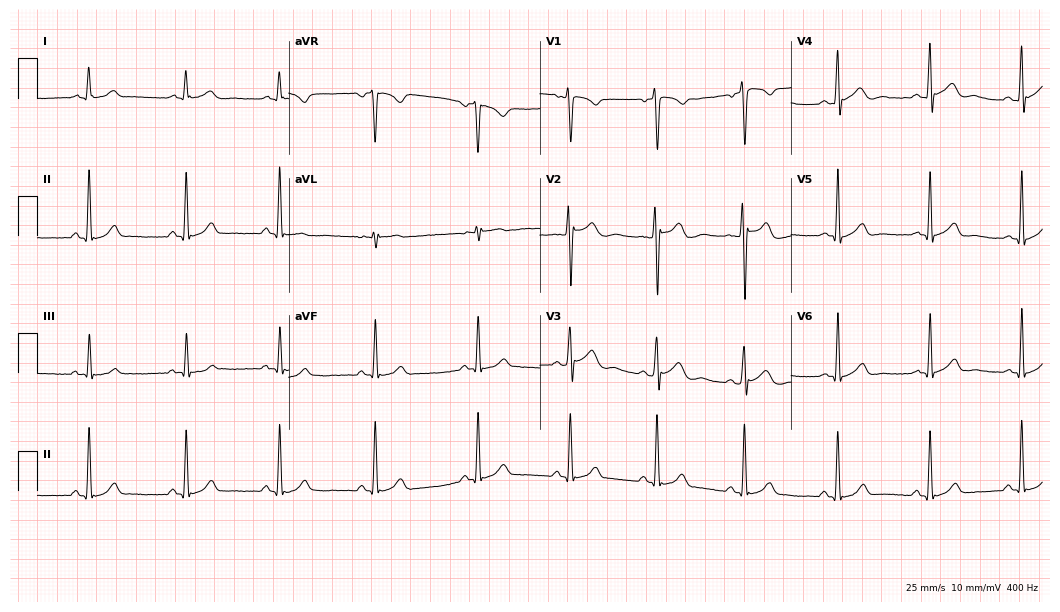
12-lead ECG from a 21-year-old male. Labelled as a normal ECG.